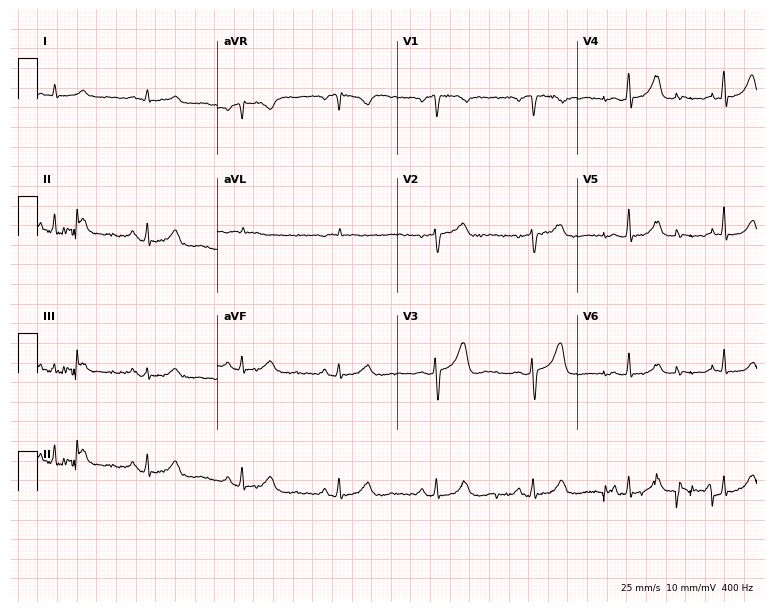
Resting 12-lead electrocardiogram (7.3-second recording at 400 Hz). Patient: a 68-year-old male. None of these six findings is recorded: first-degree AV block, right bundle branch block, left bundle branch block, sinus bradycardia, atrial fibrillation, sinus tachycardia. Findings outside these six are not listed.